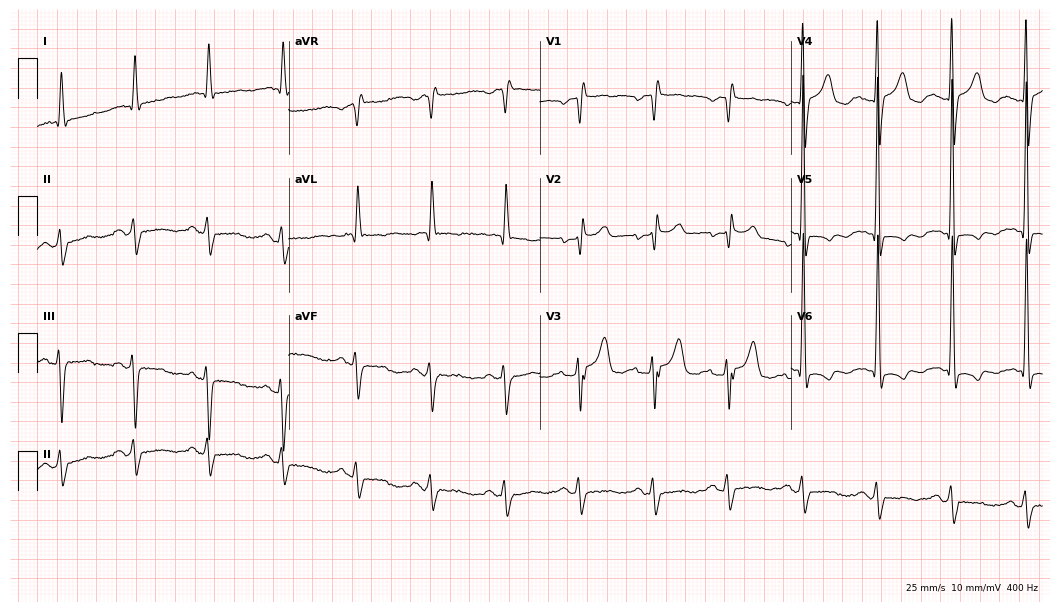
12-lead ECG (10.2-second recording at 400 Hz) from a male patient, 83 years old. Findings include right bundle branch block (RBBB).